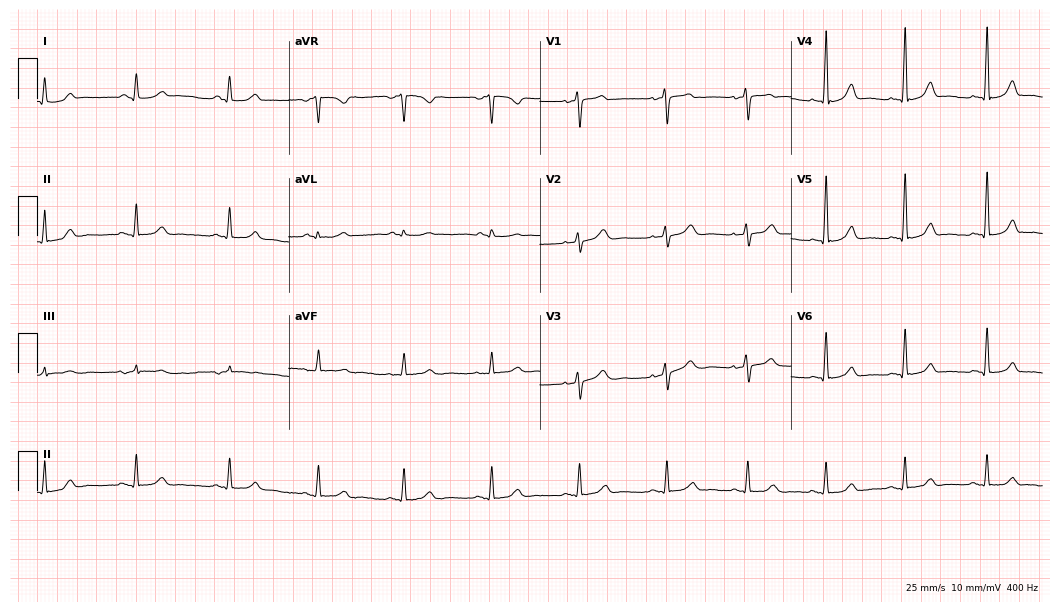
ECG — a 44-year-old female patient. Labelled as a normal ECG.